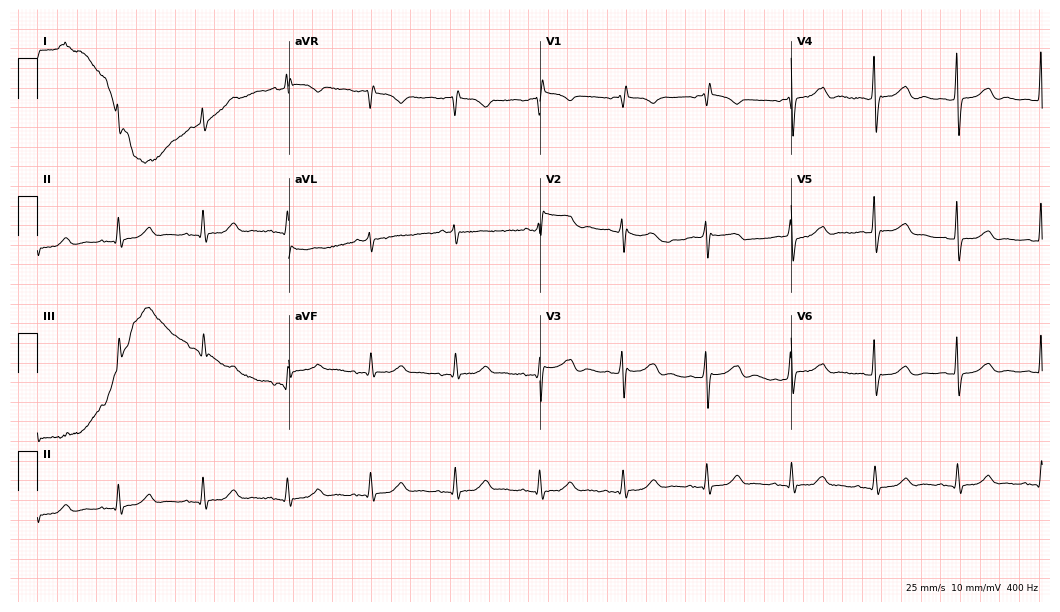
ECG (10.2-second recording at 400 Hz) — a 76-year-old man. Screened for six findings — first-degree AV block, right bundle branch block (RBBB), left bundle branch block (LBBB), sinus bradycardia, atrial fibrillation (AF), sinus tachycardia — none is recorded.